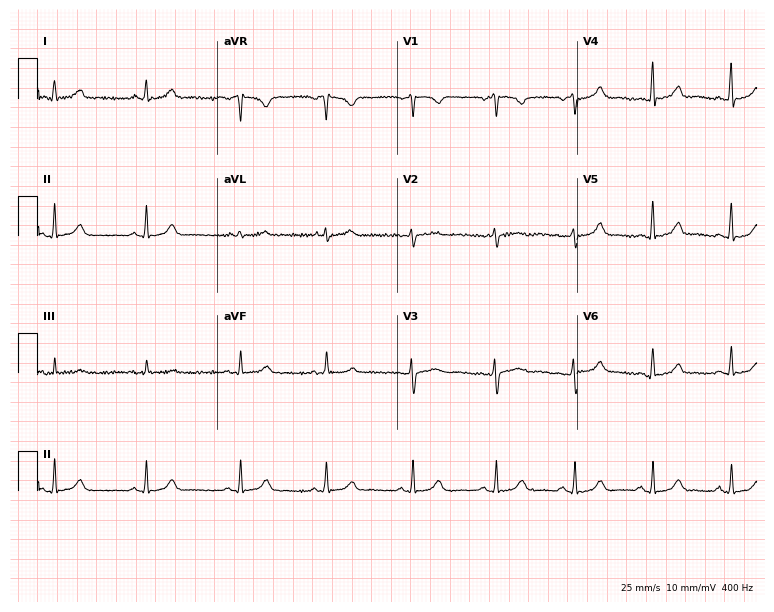
ECG (7.3-second recording at 400 Hz) — a 38-year-old female patient. Labelled as a normal ECG.